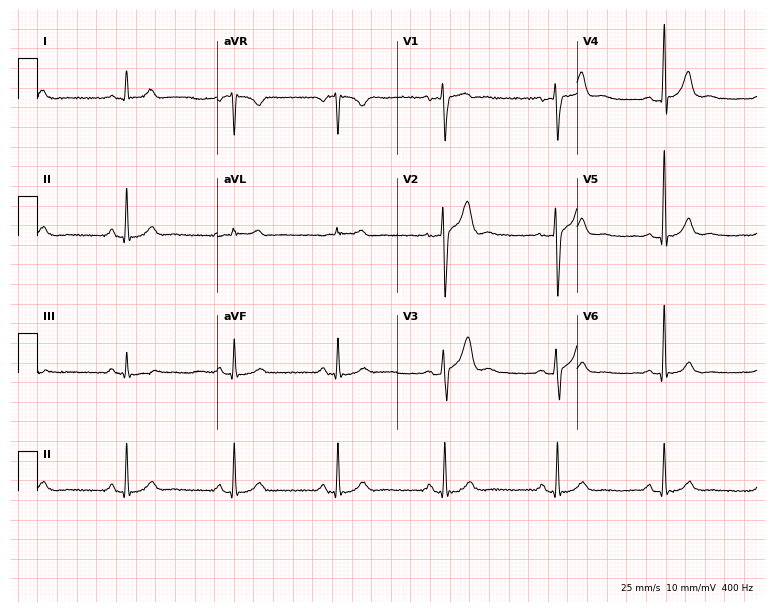
12-lead ECG from a 33-year-old male (7.3-second recording at 400 Hz). Recorded interpretation: within normal limits.